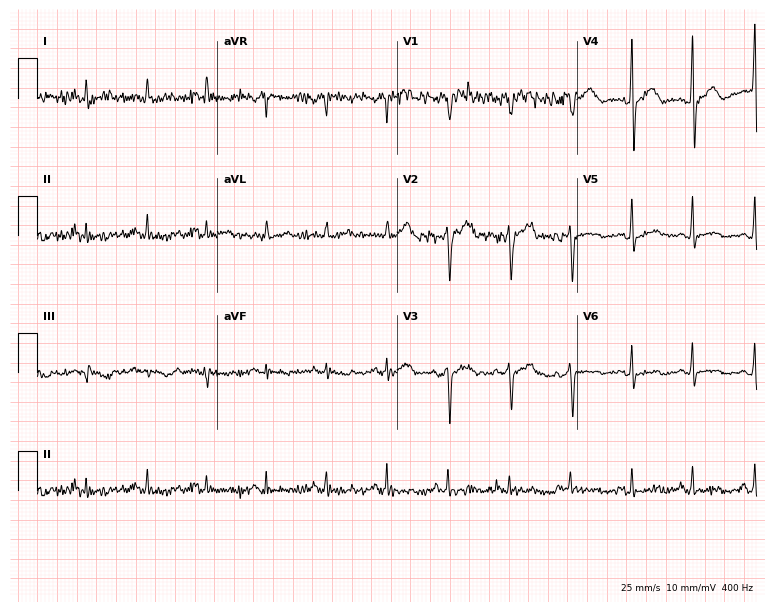
ECG (7.3-second recording at 400 Hz) — a male, 54 years old. Screened for six findings — first-degree AV block, right bundle branch block (RBBB), left bundle branch block (LBBB), sinus bradycardia, atrial fibrillation (AF), sinus tachycardia — none is recorded. Other findings, if any, are not listed.